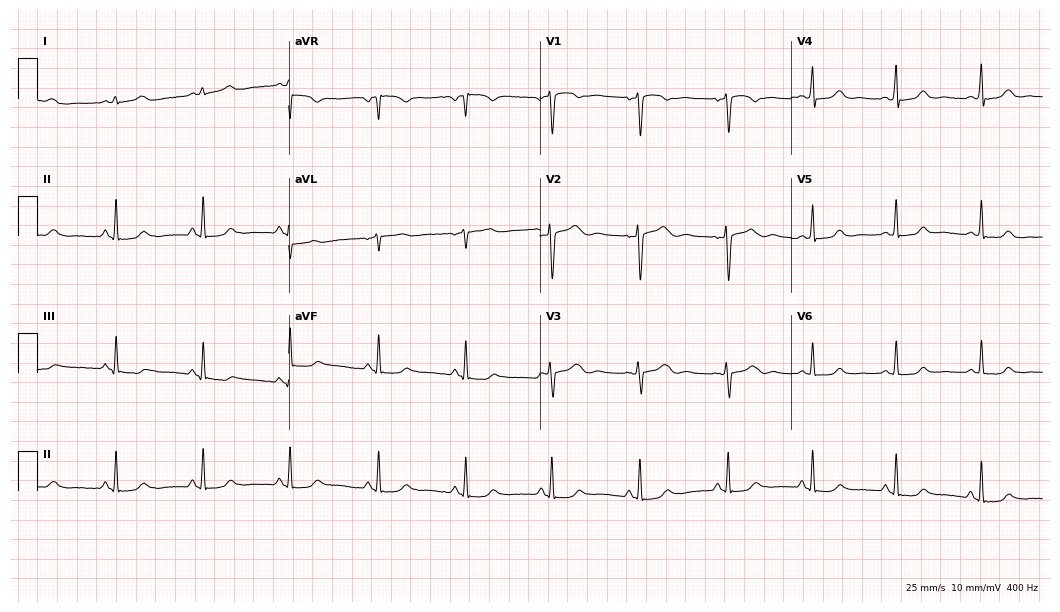
ECG (10.2-second recording at 400 Hz) — a 34-year-old woman. Screened for six findings — first-degree AV block, right bundle branch block (RBBB), left bundle branch block (LBBB), sinus bradycardia, atrial fibrillation (AF), sinus tachycardia — none is recorded.